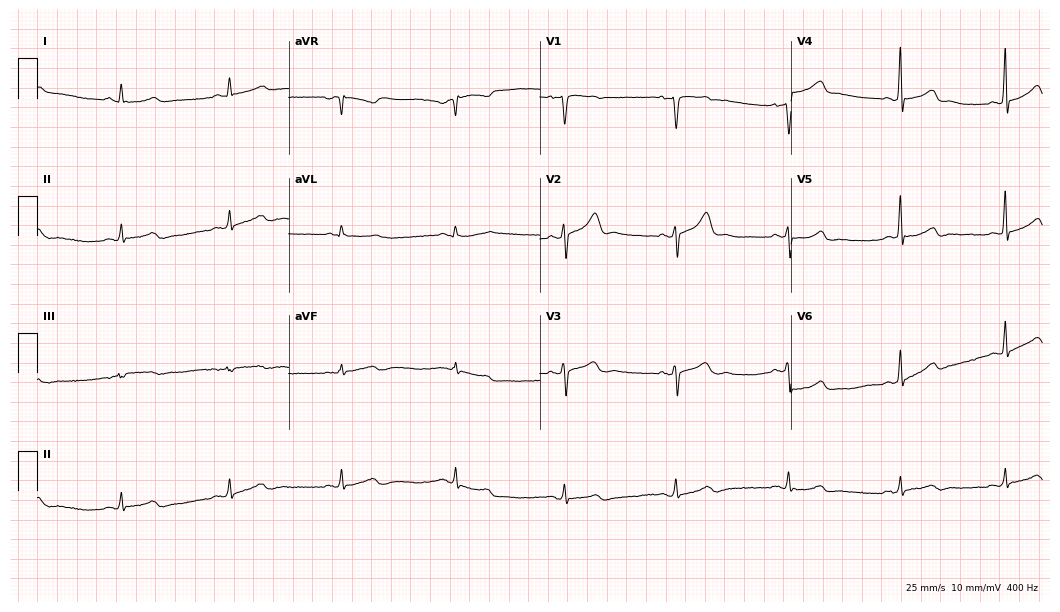
12-lead ECG from a female, 28 years old. Labelled as a normal ECG.